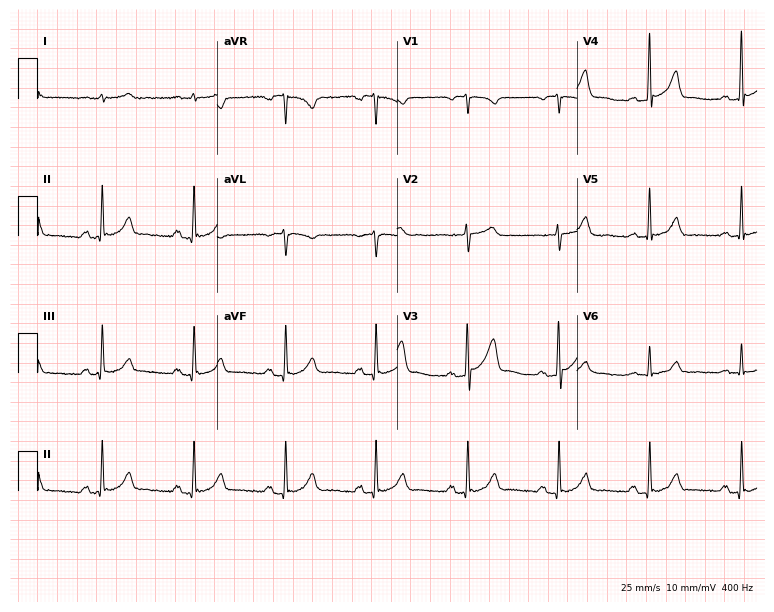
ECG — a male patient, 77 years old. Labelled as a normal ECG.